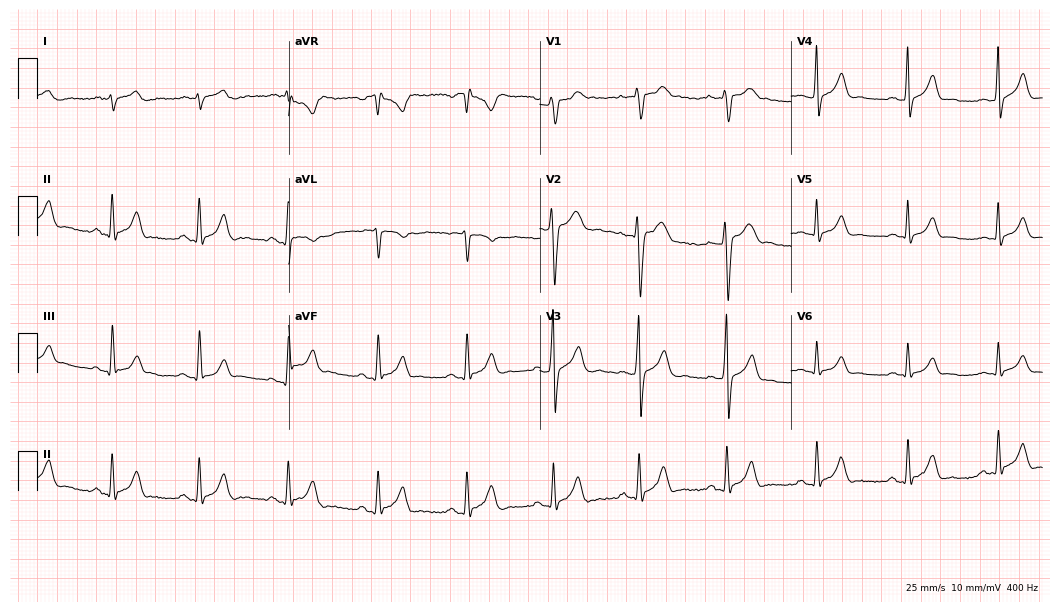
12-lead ECG from a 30-year-old male patient. Screened for six findings — first-degree AV block, right bundle branch block (RBBB), left bundle branch block (LBBB), sinus bradycardia, atrial fibrillation (AF), sinus tachycardia — none is recorded. Only these six findings were labelled.